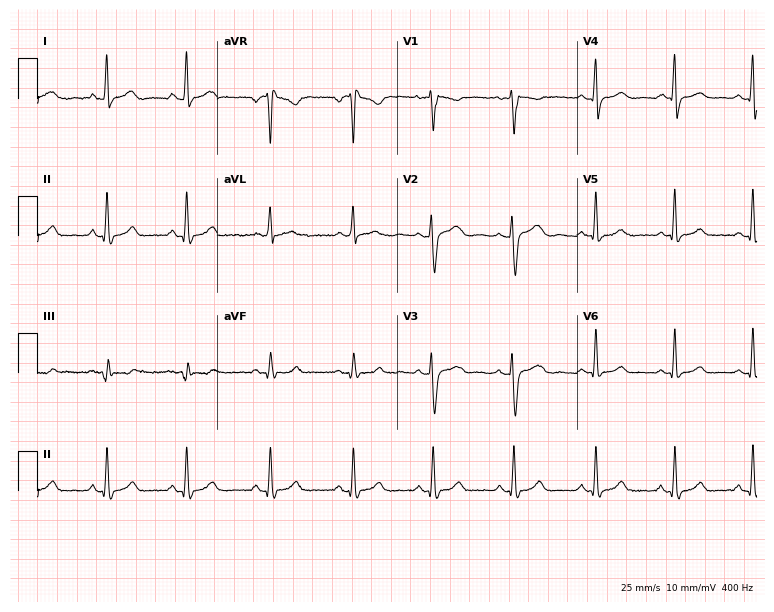
Electrocardiogram, a 42-year-old female. Of the six screened findings (first-degree AV block, right bundle branch block (RBBB), left bundle branch block (LBBB), sinus bradycardia, atrial fibrillation (AF), sinus tachycardia), none is recorded. Findings outside these six are not listed.